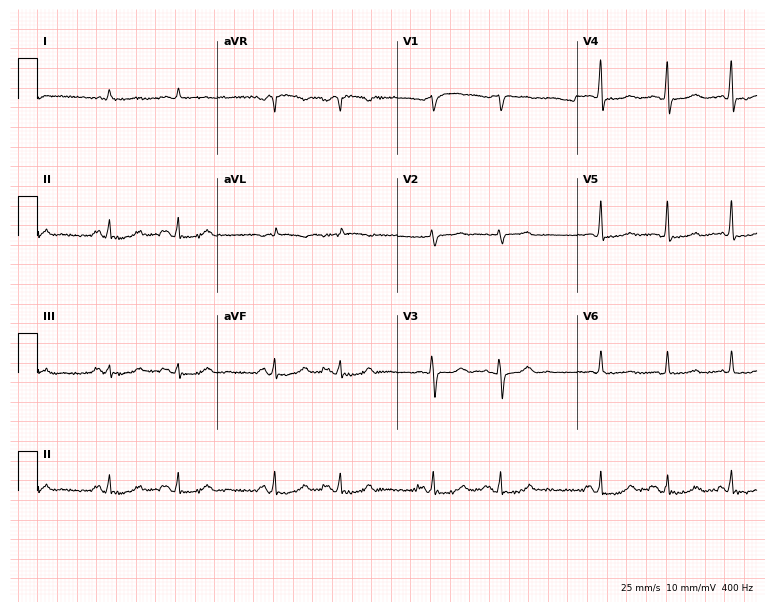
12-lead ECG from a male, 81 years old. Screened for six findings — first-degree AV block, right bundle branch block, left bundle branch block, sinus bradycardia, atrial fibrillation, sinus tachycardia — none is recorded. Other findings, if any, are not listed.